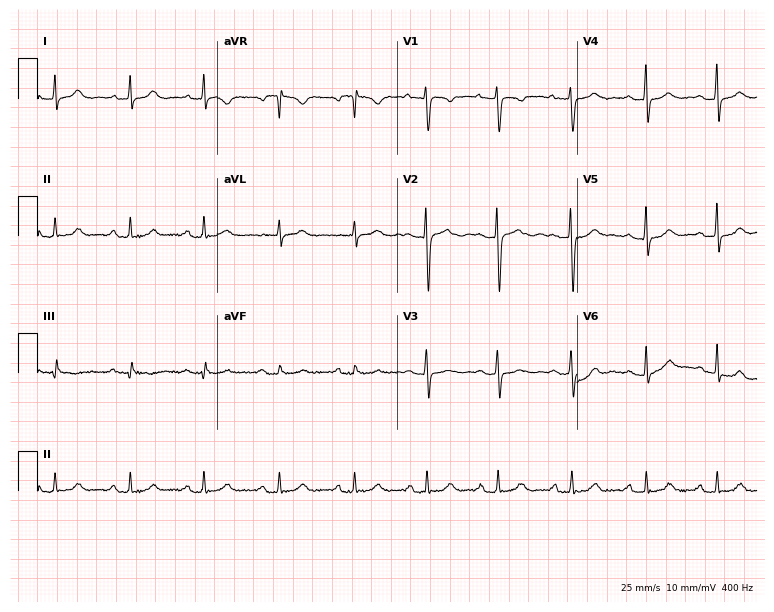
Resting 12-lead electrocardiogram. Patient: a female, 22 years old. Read as a normal ECG.